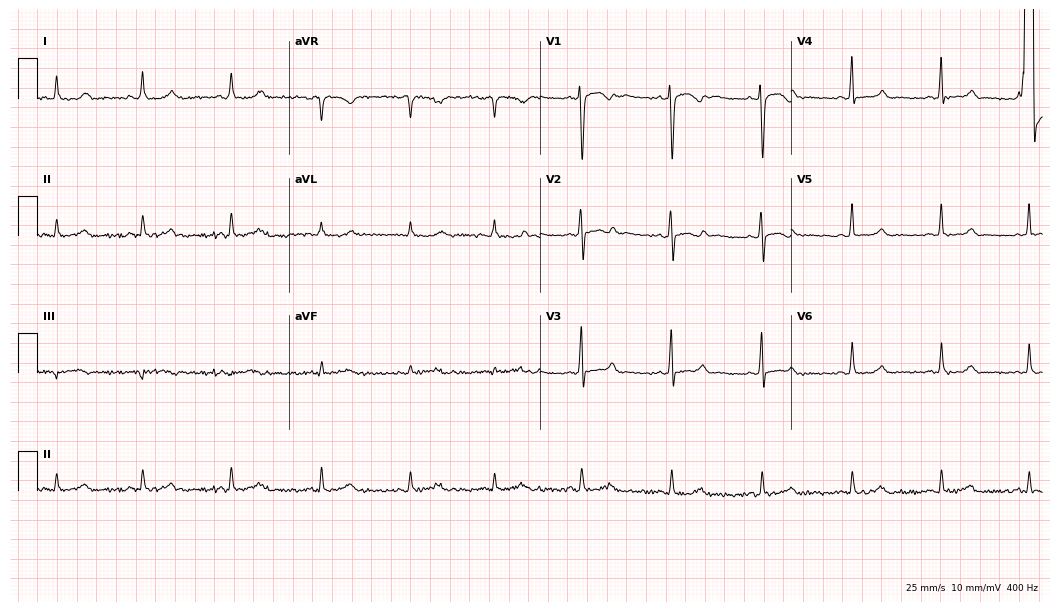
12-lead ECG from a woman, 42 years old. Labelled as a normal ECG.